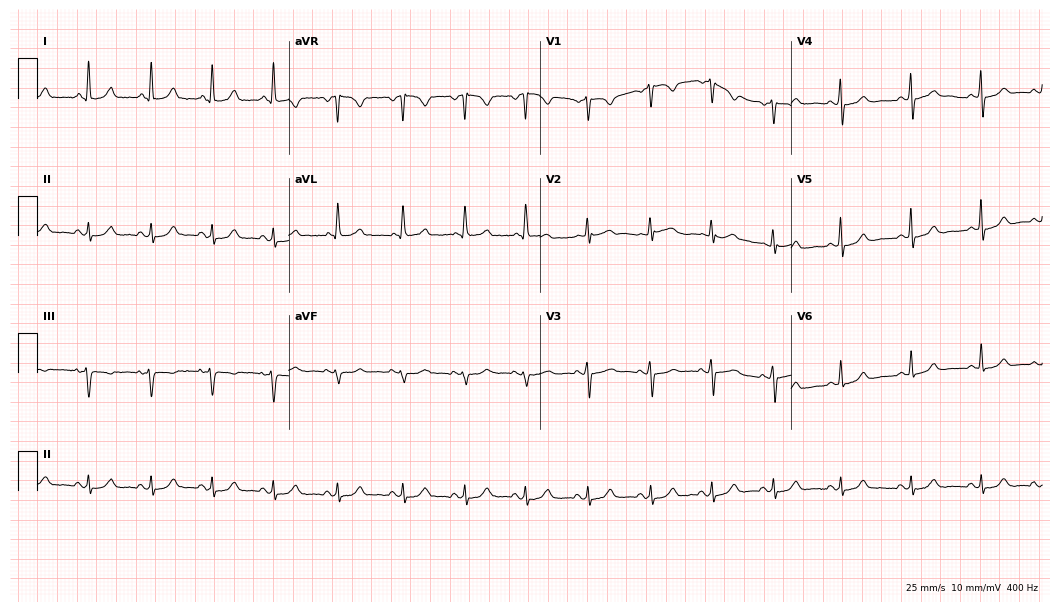
Resting 12-lead electrocardiogram. Patient: a woman, 52 years old. None of these six findings is recorded: first-degree AV block, right bundle branch block, left bundle branch block, sinus bradycardia, atrial fibrillation, sinus tachycardia.